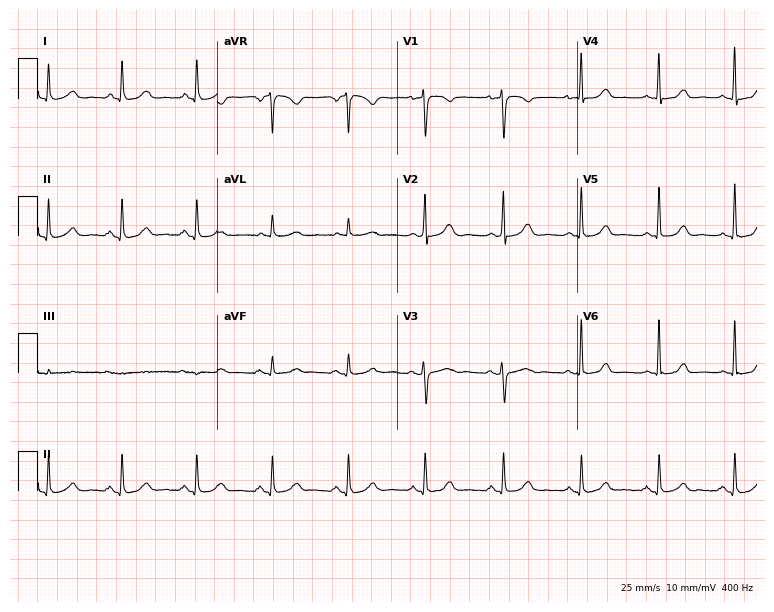
12-lead ECG (7.3-second recording at 400 Hz) from a female patient, 71 years old. Screened for six findings — first-degree AV block, right bundle branch block, left bundle branch block, sinus bradycardia, atrial fibrillation, sinus tachycardia — none is recorded. Findings outside these six are not listed.